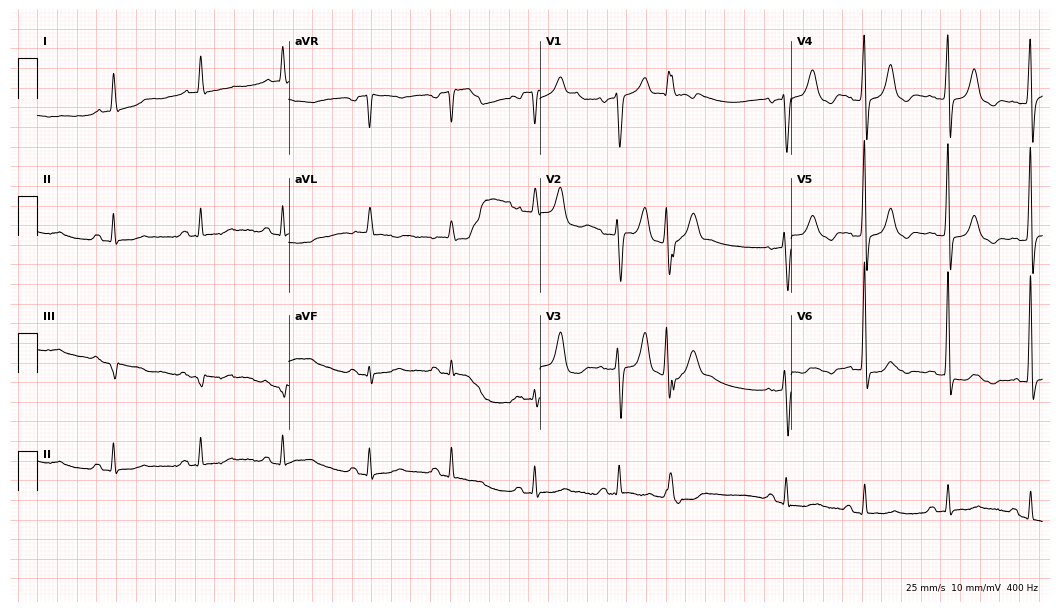
Resting 12-lead electrocardiogram (10.2-second recording at 400 Hz). Patient: an 80-year-old female. None of these six findings is recorded: first-degree AV block, right bundle branch block, left bundle branch block, sinus bradycardia, atrial fibrillation, sinus tachycardia.